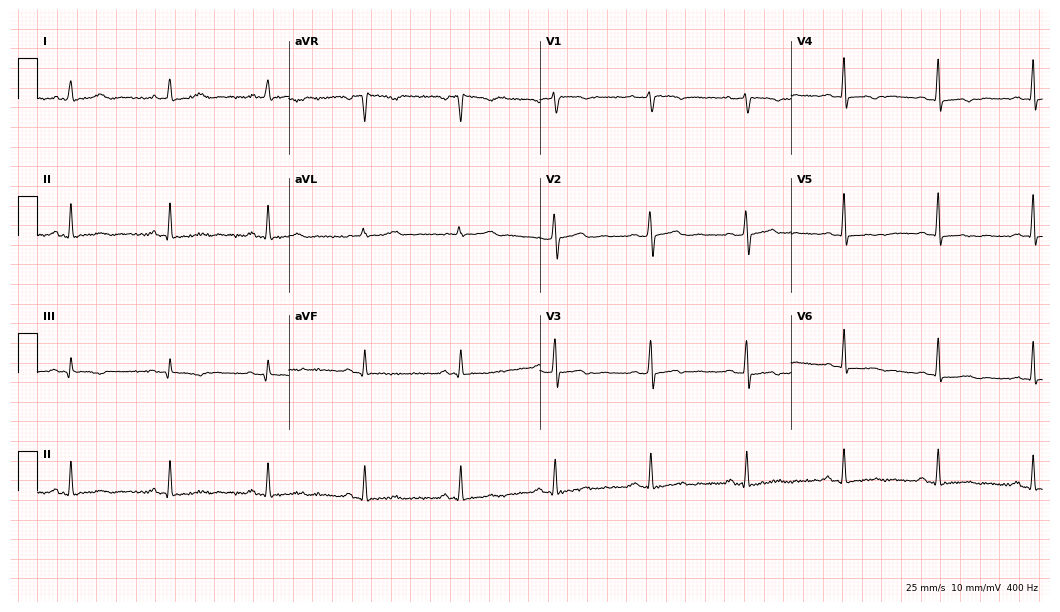
12-lead ECG from a female, 36 years old. Screened for six findings — first-degree AV block, right bundle branch block, left bundle branch block, sinus bradycardia, atrial fibrillation, sinus tachycardia — none is recorded.